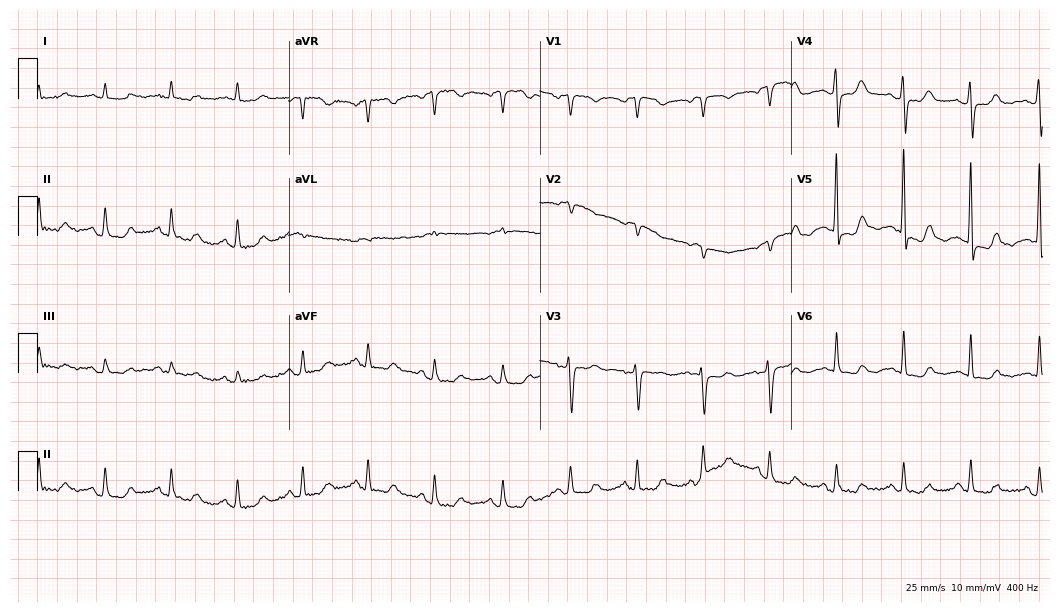
12-lead ECG (10.2-second recording at 400 Hz) from a woman, 73 years old. Labelled as a normal ECG.